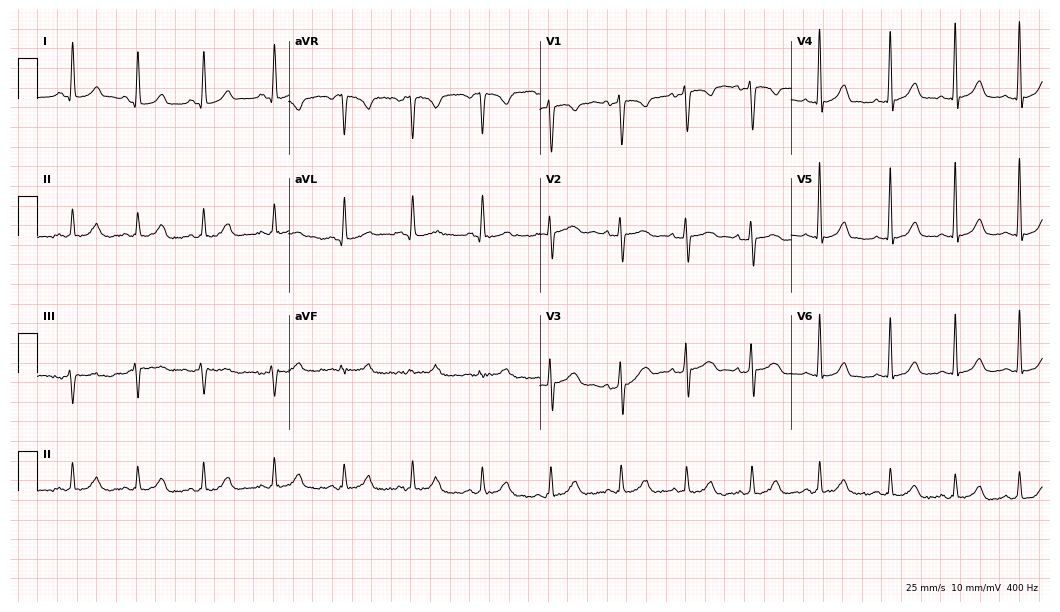
ECG — a female, 18 years old. Screened for six findings — first-degree AV block, right bundle branch block, left bundle branch block, sinus bradycardia, atrial fibrillation, sinus tachycardia — none is recorded. Other findings, if any, are not listed.